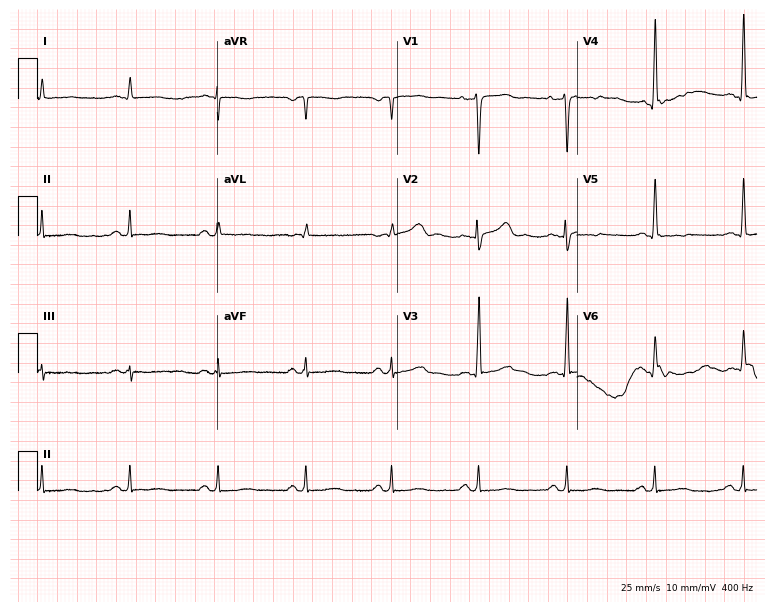
Resting 12-lead electrocardiogram. Patient: a 57-year-old male. None of these six findings is recorded: first-degree AV block, right bundle branch block (RBBB), left bundle branch block (LBBB), sinus bradycardia, atrial fibrillation (AF), sinus tachycardia. Findings outside these six are not listed.